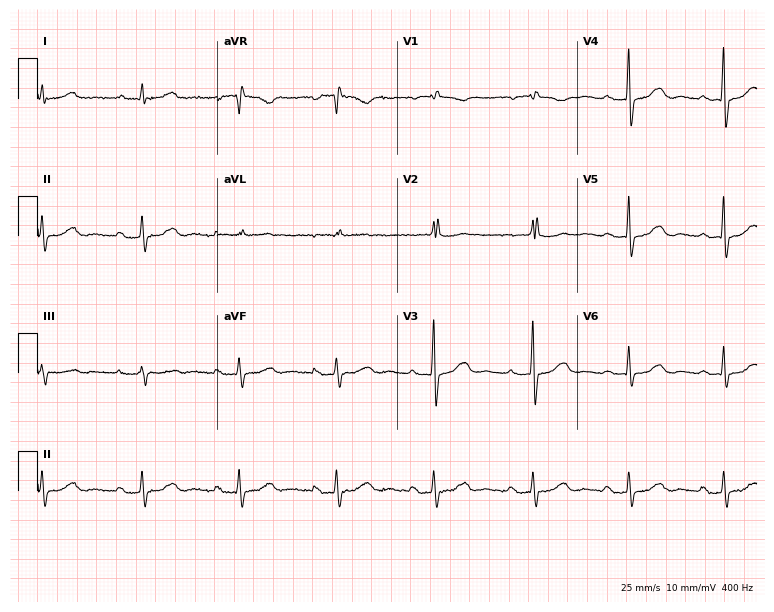
12-lead ECG from a 71-year-old female (7.3-second recording at 400 Hz). Recorded interpretation: within normal limits.